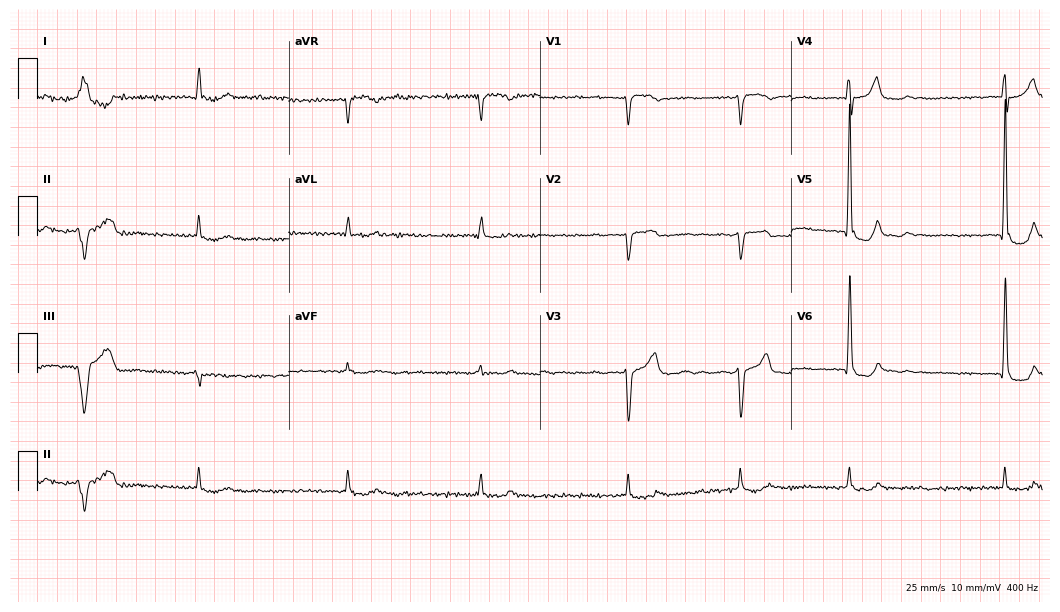
12-lead ECG from a male, 79 years old (10.2-second recording at 400 Hz). No first-degree AV block, right bundle branch block (RBBB), left bundle branch block (LBBB), sinus bradycardia, atrial fibrillation (AF) or sinus tachycardia recorded for this tracing. Only these six findings were labelled.